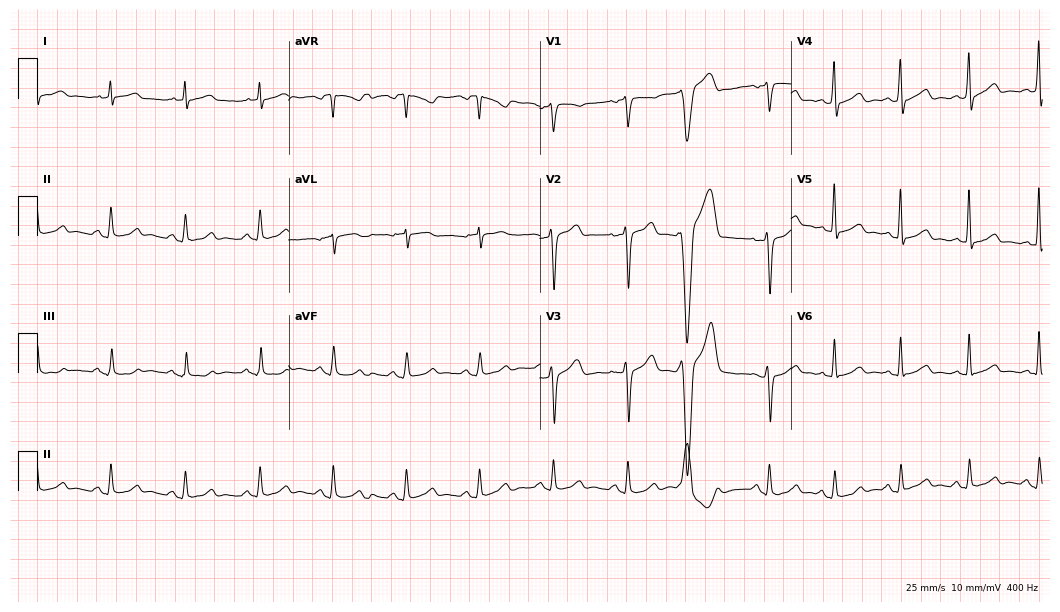
Standard 12-lead ECG recorded from a male, 51 years old (10.2-second recording at 400 Hz). None of these six findings is recorded: first-degree AV block, right bundle branch block (RBBB), left bundle branch block (LBBB), sinus bradycardia, atrial fibrillation (AF), sinus tachycardia.